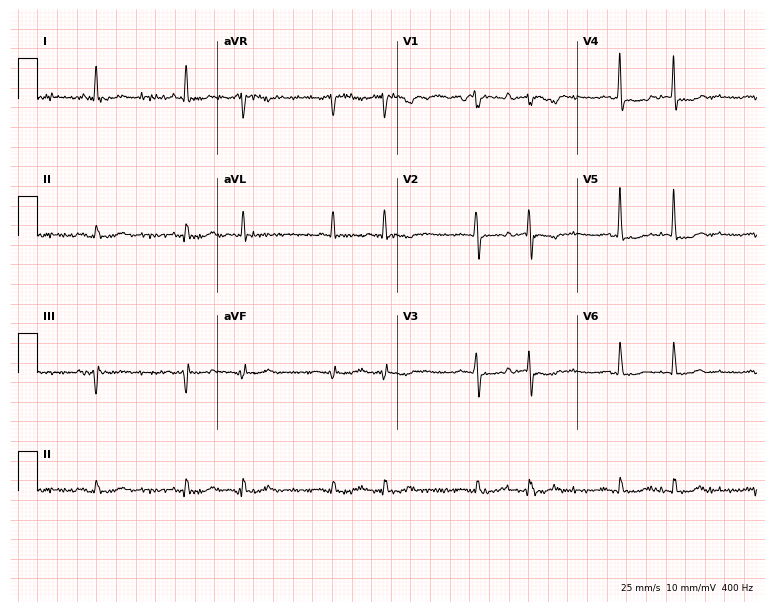
Standard 12-lead ECG recorded from an 83-year-old male (7.3-second recording at 400 Hz). None of these six findings is recorded: first-degree AV block, right bundle branch block, left bundle branch block, sinus bradycardia, atrial fibrillation, sinus tachycardia.